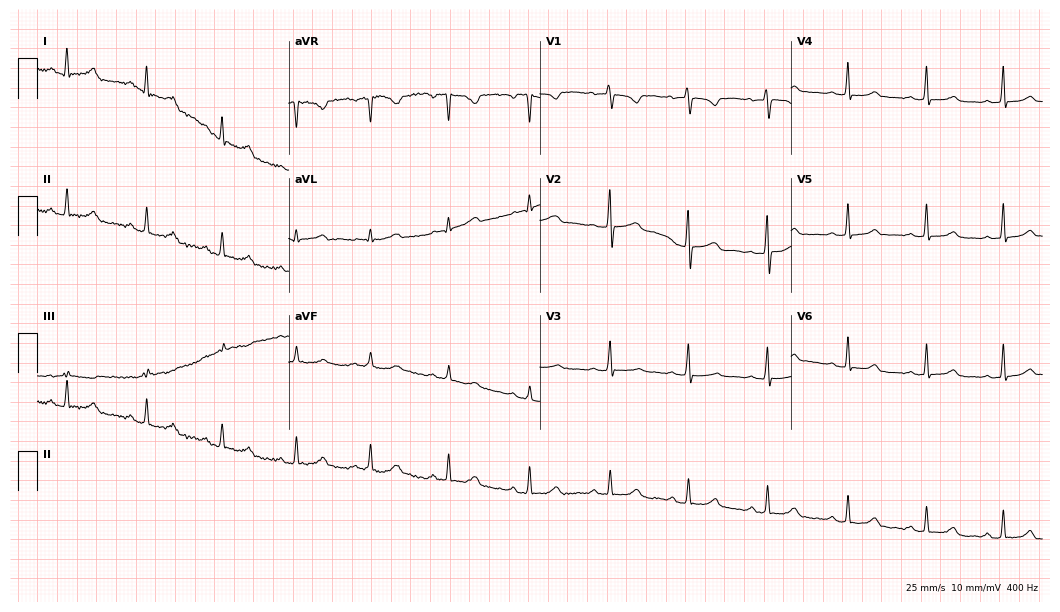
ECG (10.2-second recording at 400 Hz) — a female, 43 years old. Screened for six findings — first-degree AV block, right bundle branch block, left bundle branch block, sinus bradycardia, atrial fibrillation, sinus tachycardia — none is recorded.